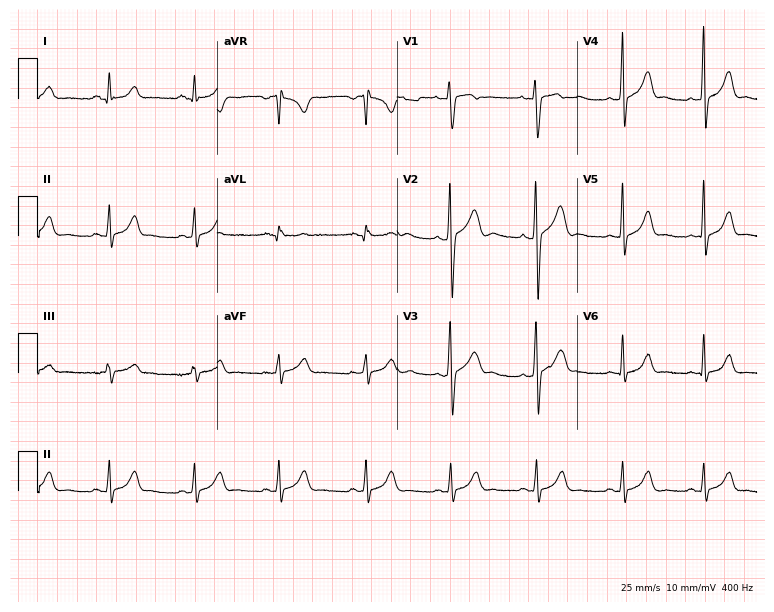
Resting 12-lead electrocardiogram. Patient: a male, 17 years old. Read as a normal ECG.